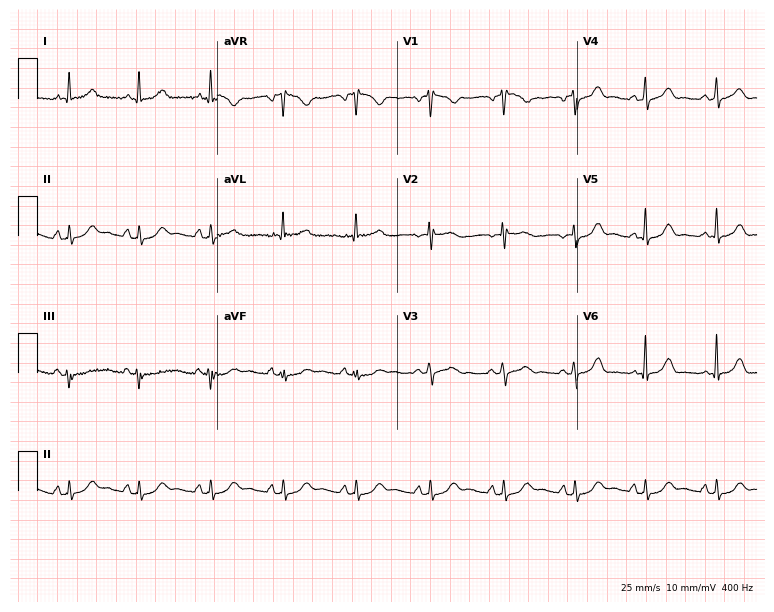
12-lead ECG from a female patient, 45 years old. Labelled as a normal ECG.